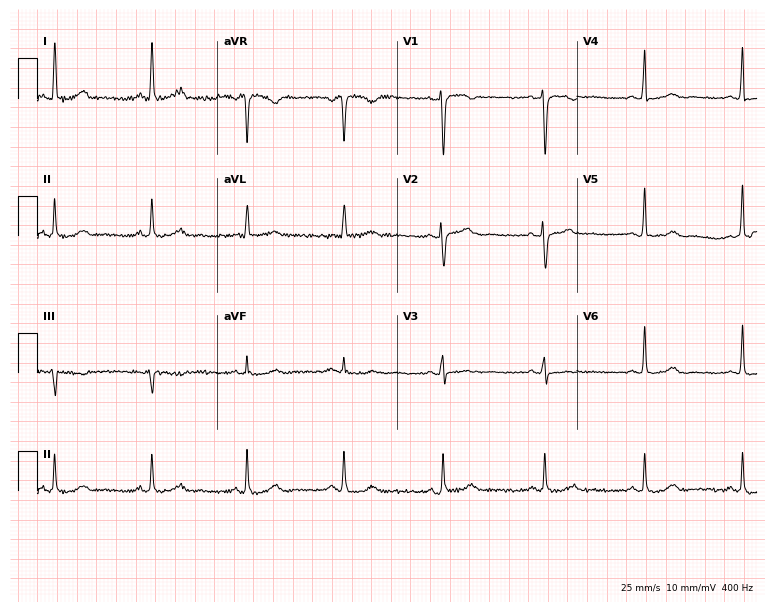
12-lead ECG from a 63-year-old woman. Labelled as a normal ECG.